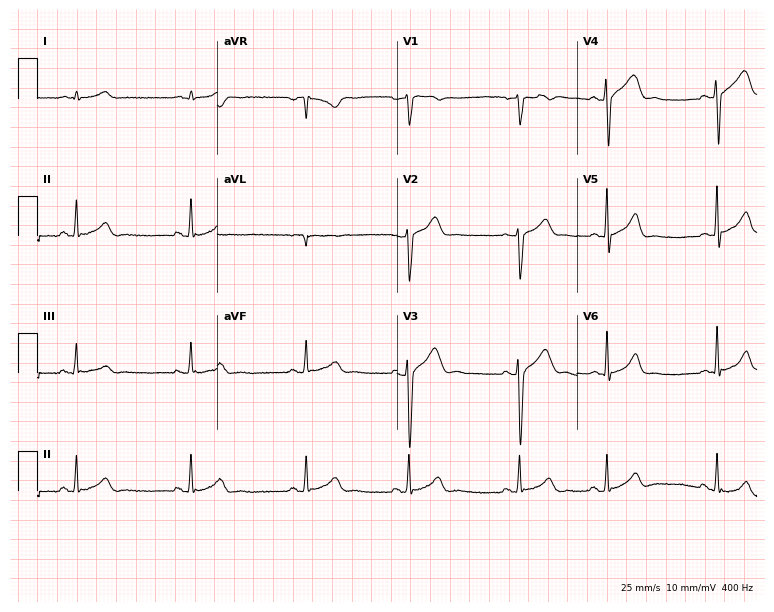
ECG (7.3-second recording at 400 Hz) — a male, 43 years old. Labelled as a normal ECG.